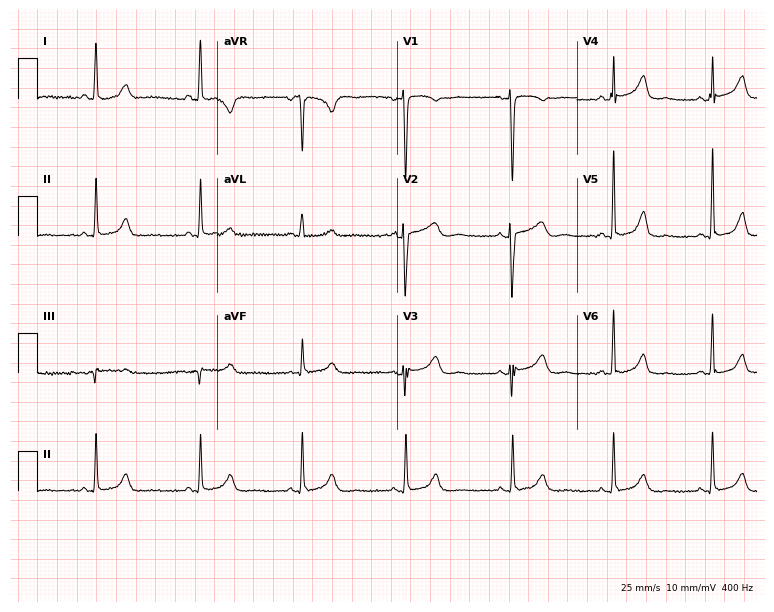
ECG (7.3-second recording at 400 Hz) — a female patient, 43 years old. Labelled as a normal ECG.